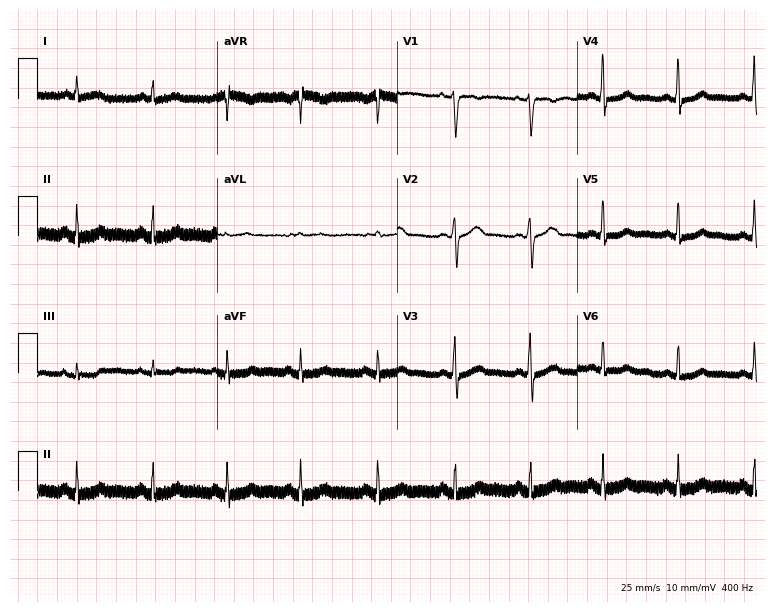
Resting 12-lead electrocardiogram (7.3-second recording at 400 Hz). Patient: a 41-year-old female. None of these six findings is recorded: first-degree AV block, right bundle branch block, left bundle branch block, sinus bradycardia, atrial fibrillation, sinus tachycardia. Other findings, if any, are not listed.